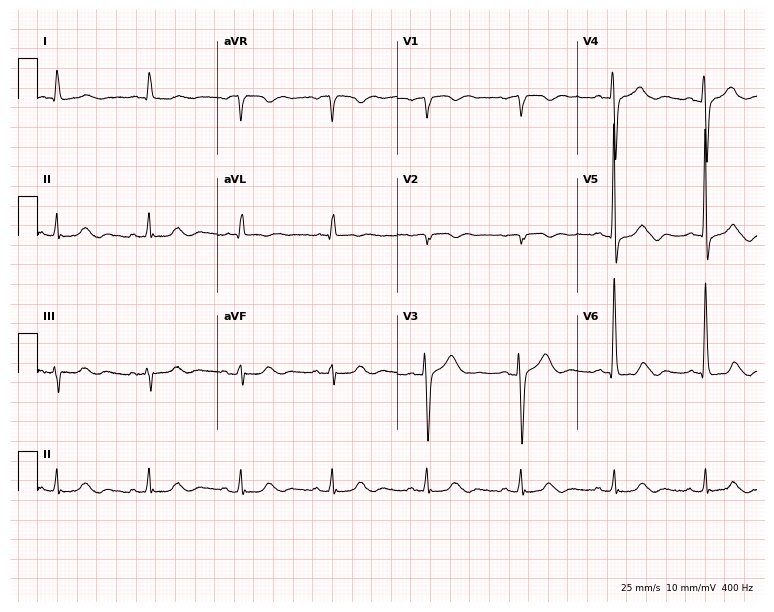
12-lead ECG from a male, 75 years old. No first-degree AV block, right bundle branch block, left bundle branch block, sinus bradycardia, atrial fibrillation or sinus tachycardia recorded for this tracing.